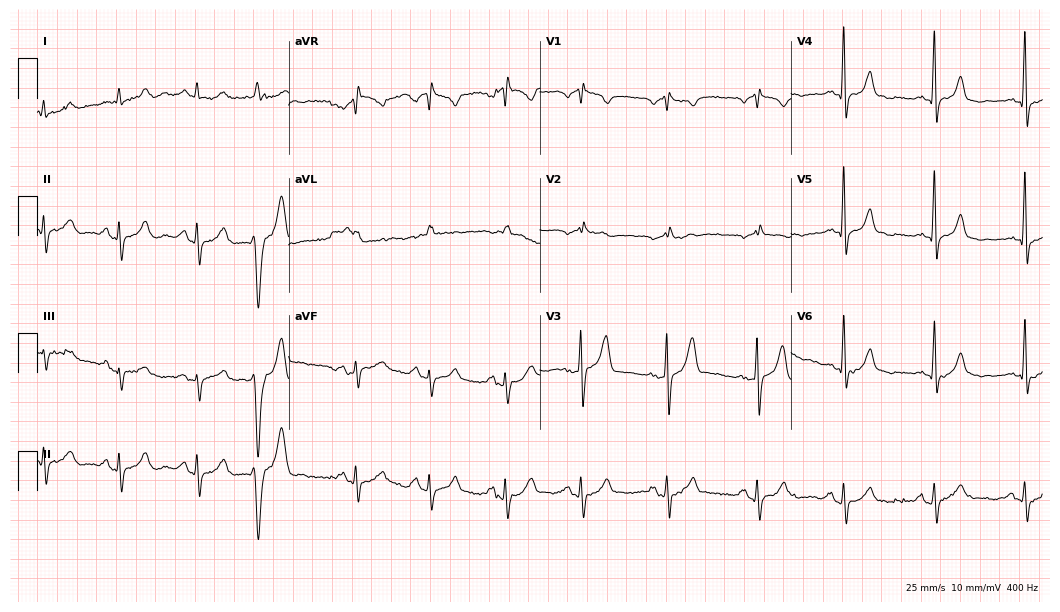
12-lead ECG from a male patient, 72 years old. Screened for six findings — first-degree AV block, right bundle branch block, left bundle branch block, sinus bradycardia, atrial fibrillation, sinus tachycardia — none is recorded.